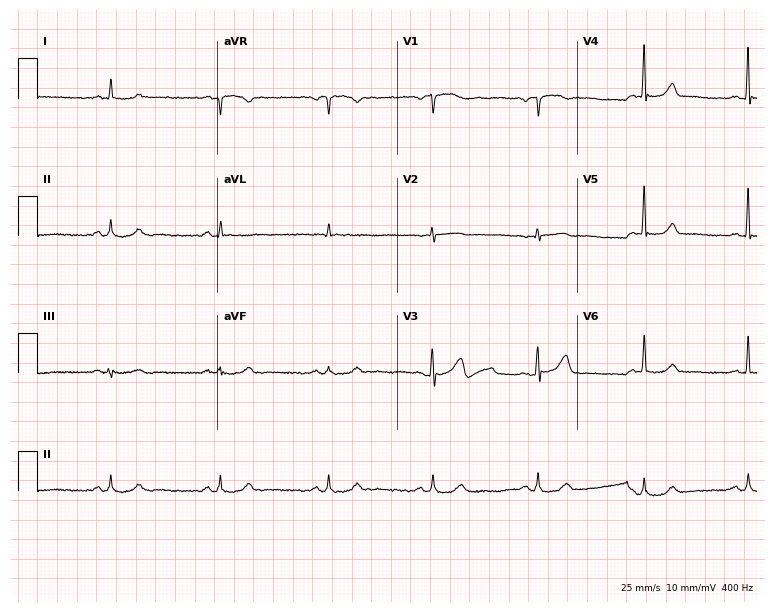
Resting 12-lead electrocardiogram (7.3-second recording at 400 Hz). Patient: a male, 67 years old. None of these six findings is recorded: first-degree AV block, right bundle branch block (RBBB), left bundle branch block (LBBB), sinus bradycardia, atrial fibrillation (AF), sinus tachycardia. Other findings, if any, are not listed.